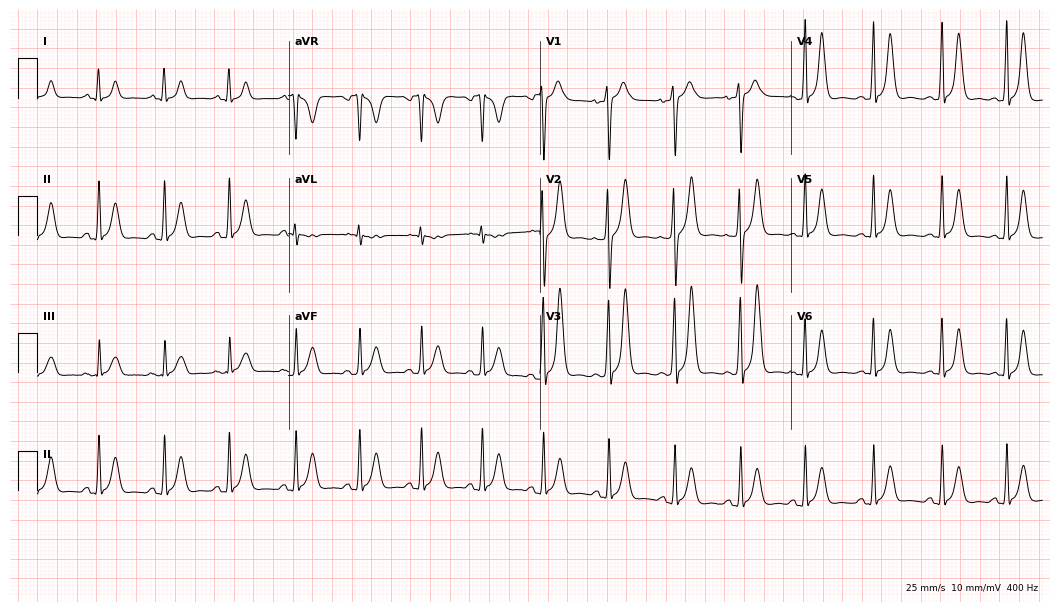
Resting 12-lead electrocardiogram (10.2-second recording at 400 Hz). Patient: a 20-year-old female. Read as a normal ECG.